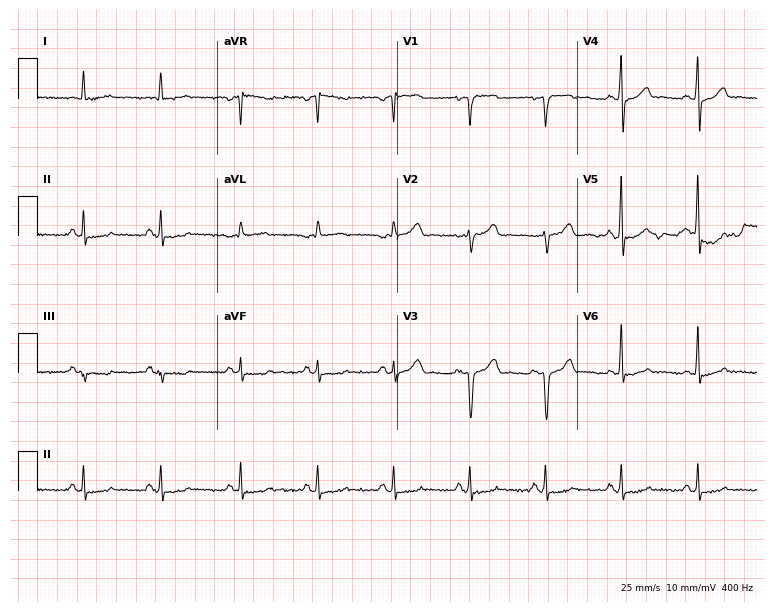
Resting 12-lead electrocardiogram. Patient: a 60-year-old man. None of these six findings is recorded: first-degree AV block, right bundle branch block, left bundle branch block, sinus bradycardia, atrial fibrillation, sinus tachycardia.